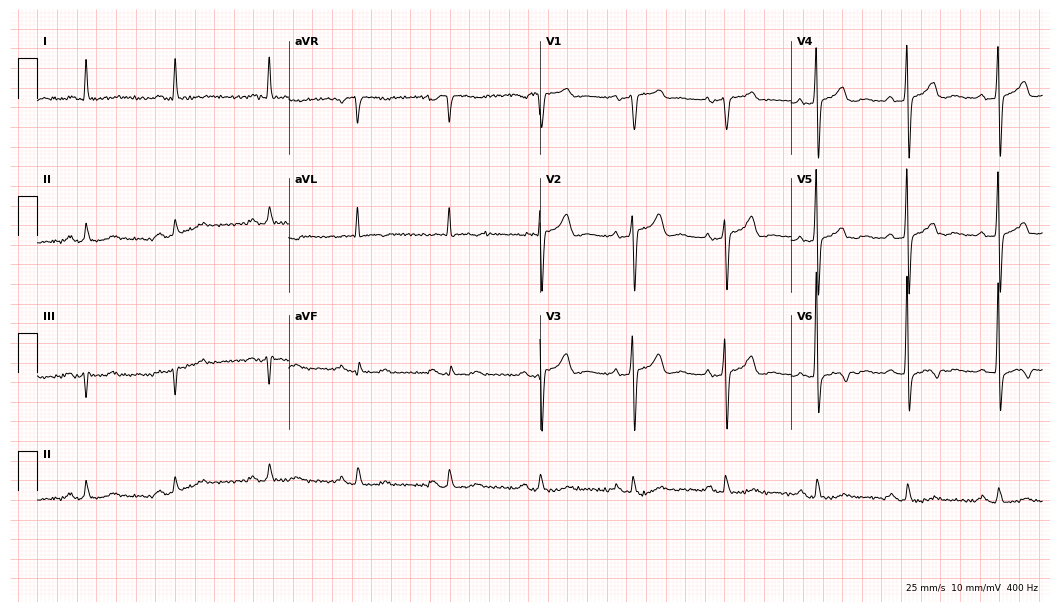
ECG (10.2-second recording at 400 Hz) — an 82-year-old male. Screened for six findings — first-degree AV block, right bundle branch block (RBBB), left bundle branch block (LBBB), sinus bradycardia, atrial fibrillation (AF), sinus tachycardia — none is recorded. Only these six findings were labelled.